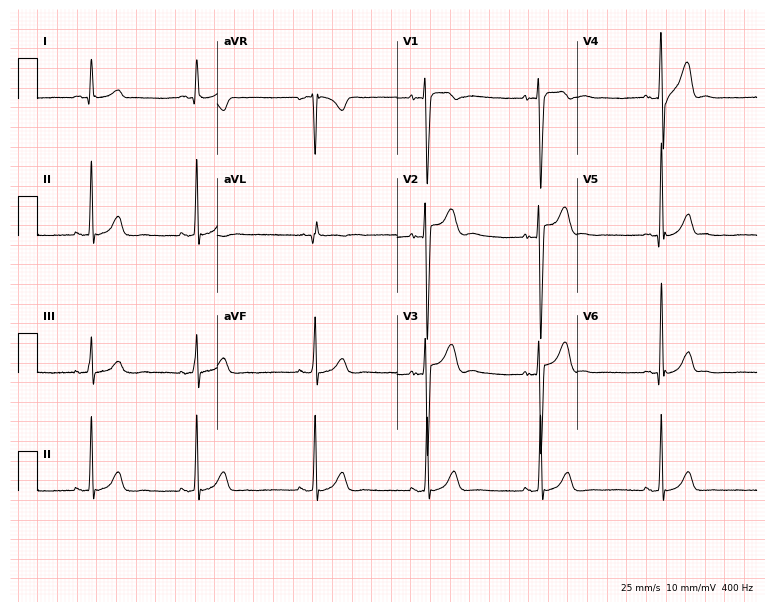
Standard 12-lead ECG recorded from an 18-year-old male (7.3-second recording at 400 Hz). None of these six findings is recorded: first-degree AV block, right bundle branch block, left bundle branch block, sinus bradycardia, atrial fibrillation, sinus tachycardia.